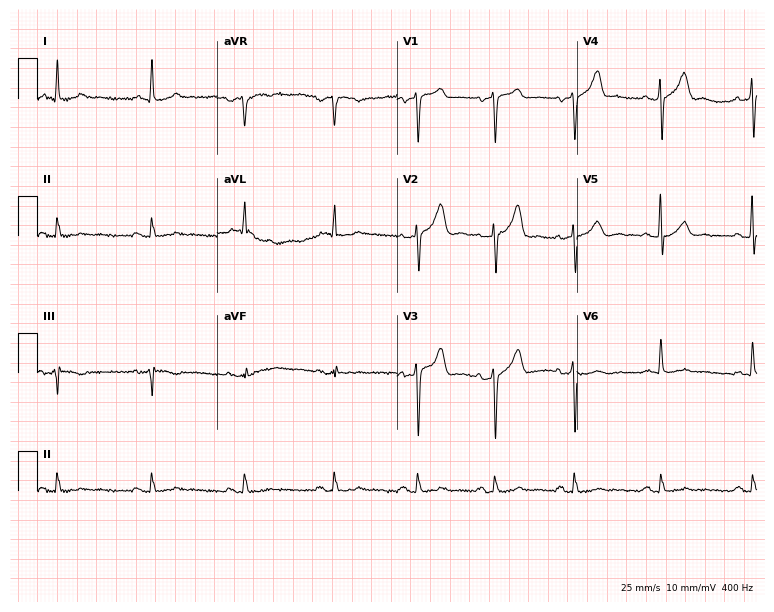
Standard 12-lead ECG recorded from a male, 47 years old. Read as a normal ECG.